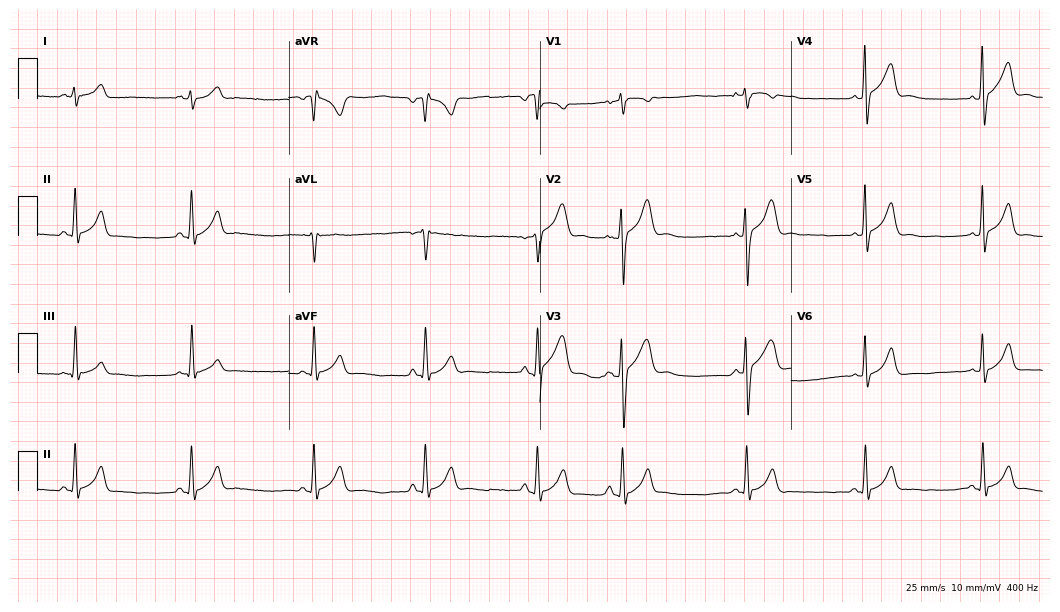
12-lead ECG from a 19-year-old male patient. Recorded interpretation: within normal limits.